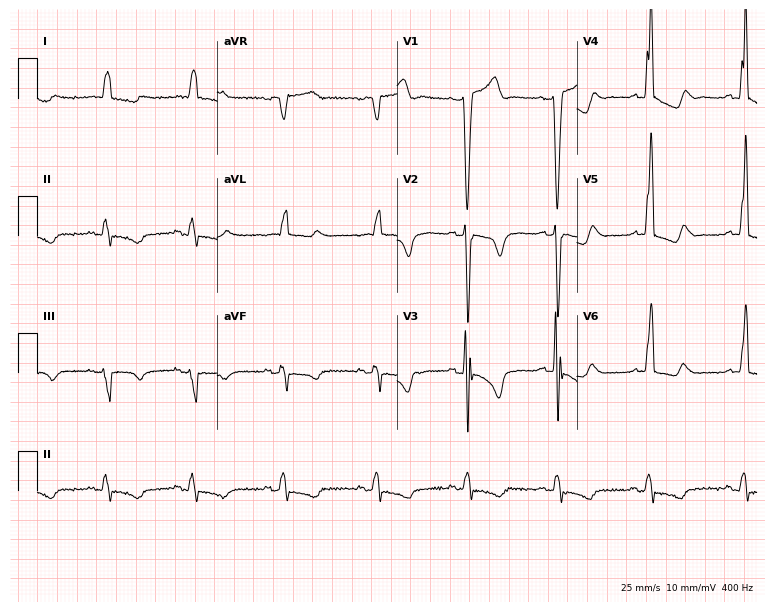
Standard 12-lead ECG recorded from a man, 82 years old (7.3-second recording at 400 Hz). None of these six findings is recorded: first-degree AV block, right bundle branch block, left bundle branch block, sinus bradycardia, atrial fibrillation, sinus tachycardia. Only these six findings were labelled.